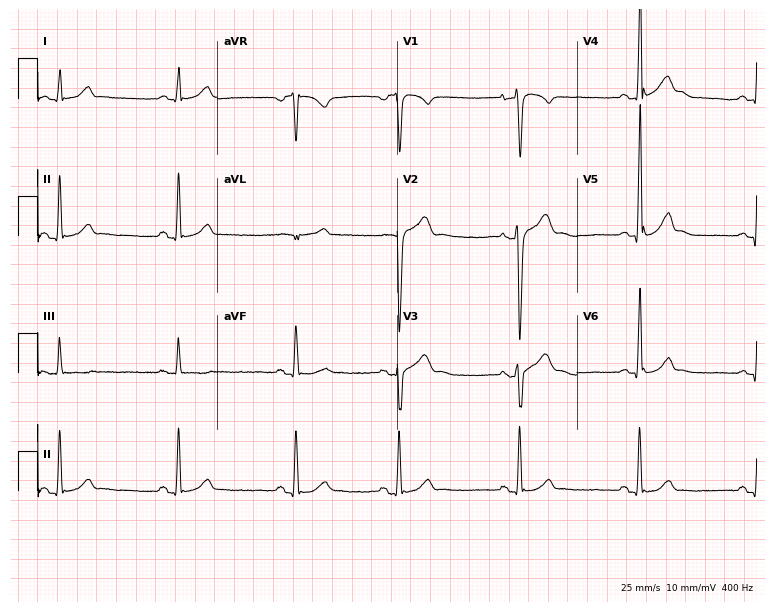
Standard 12-lead ECG recorded from a male patient, 27 years old (7.3-second recording at 400 Hz). None of these six findings is recorded: first-degree AV block, right bundle branch block, left bundle branch block, sinus bradycardia, atrial fibrillation, sinus tachycardia.